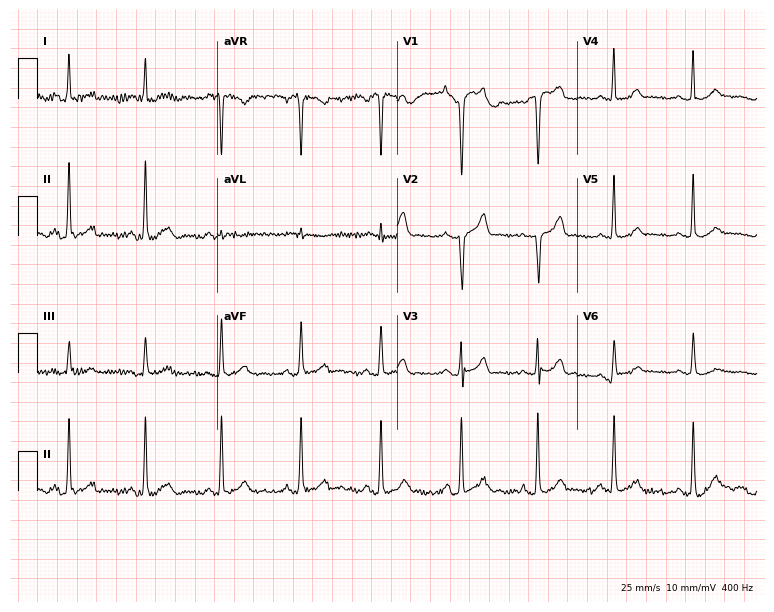
12-lead ECG from a 34-year-old female. Labelled as a normal ECG.